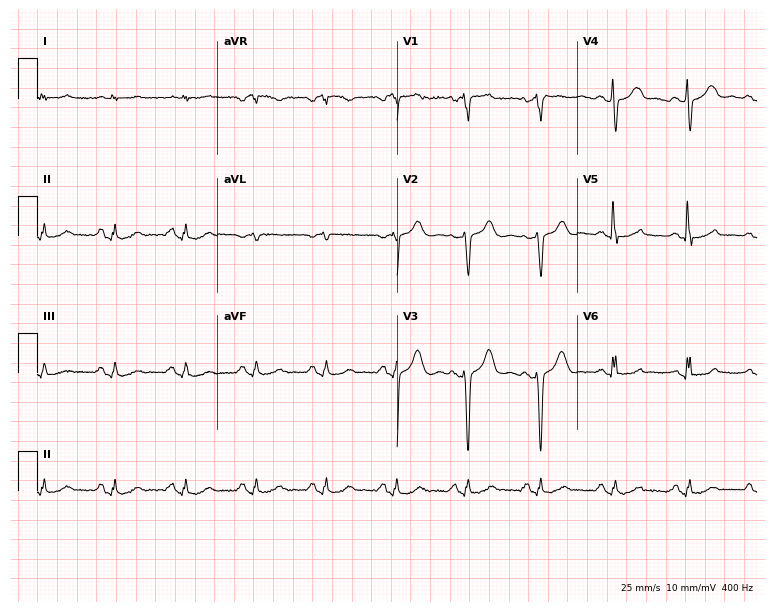
12-lead ECG from a male patient, 54 years old. No first-degree AV block, right bundle branch block, left bundle branch block, sinus bradycardia, atrial fibrillation or sinus tachycardia recorded for this tracing.